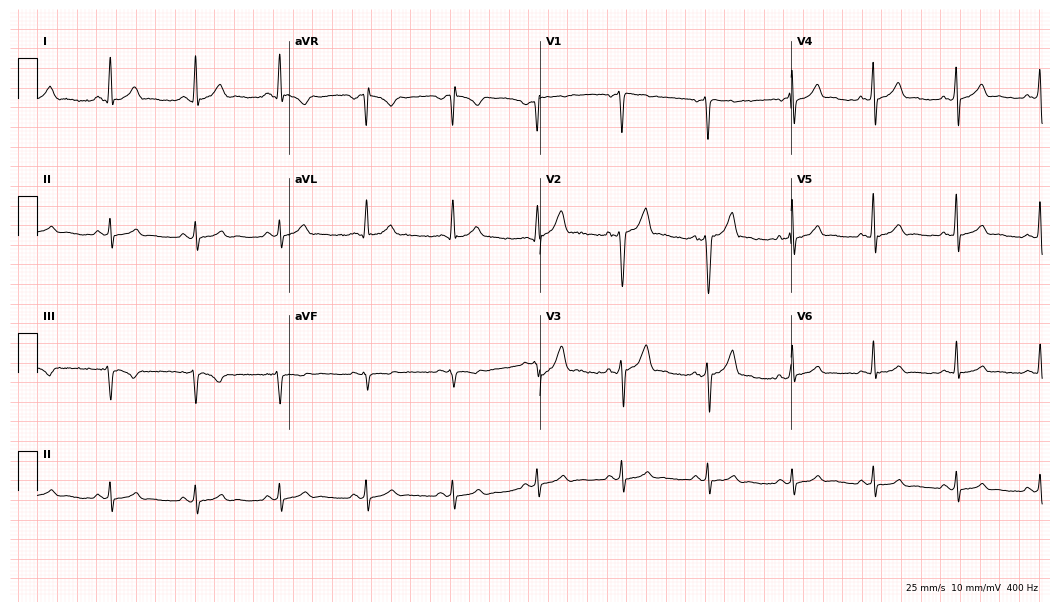
12-lead ECG from a 38-year-old male patient. Labelled as a normal ECG.